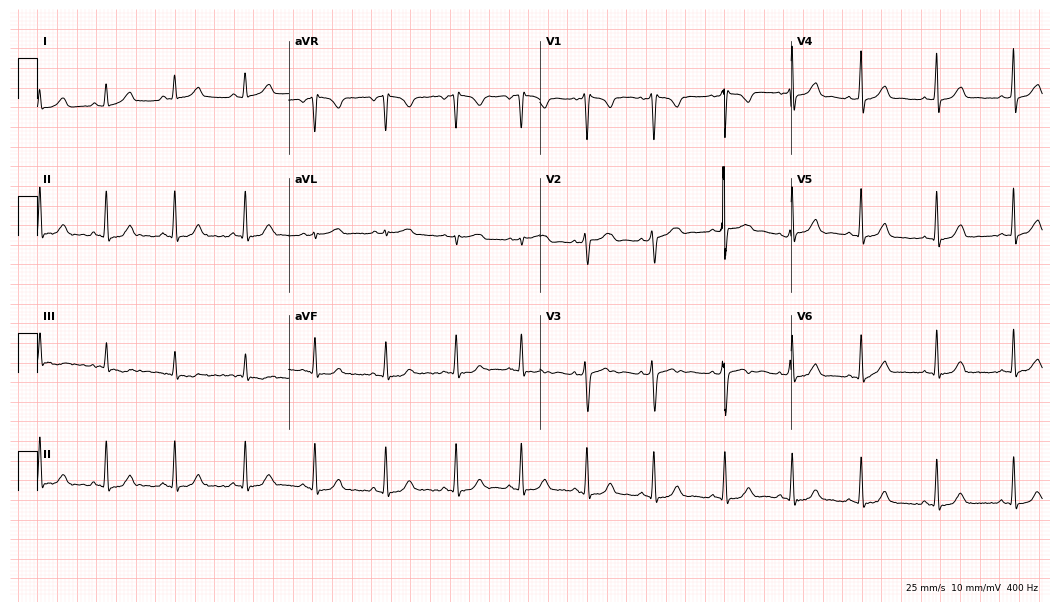
Resting 12-lead electrocardiogram (10.2-second recording at 400 Hz). Patient: a 27-year-old female. None of these six findings is recorded: first-degree AV block, right bundle branch block, left bundle branch block, sinus bradycardia, atrial fibrillation, sinus tachycardia.